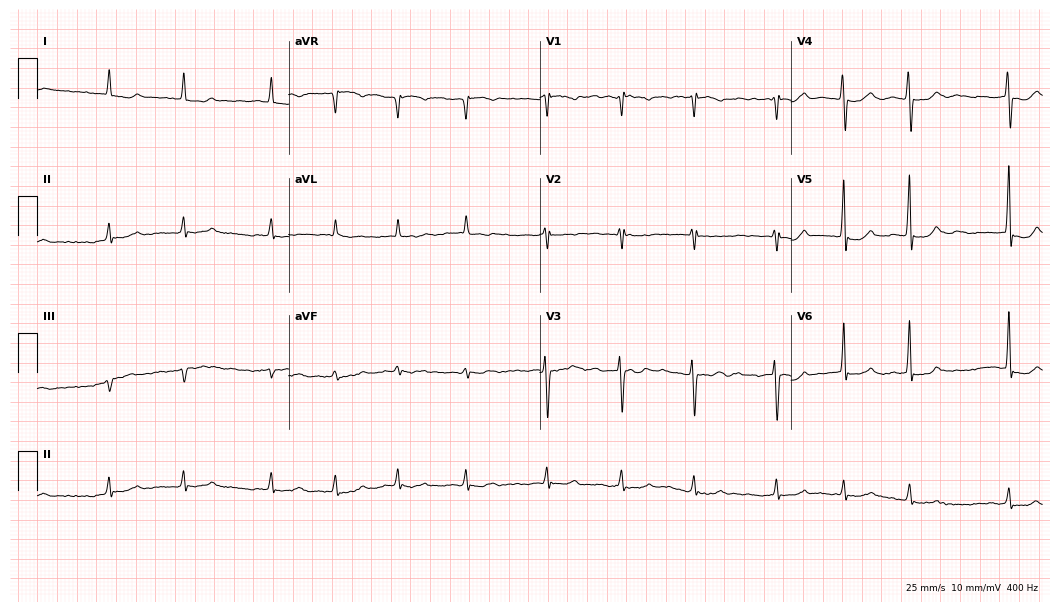
ECG (10.2-second recording at 400 Hz) — an 82-year-old female. Screened for six findings — first-degree AV block, right bundle branch block, left bundle branch block, sinus bradycardia, atrial fibrillation, sinus tachycardia — none is recorded. Other findings, if any, are not listed.